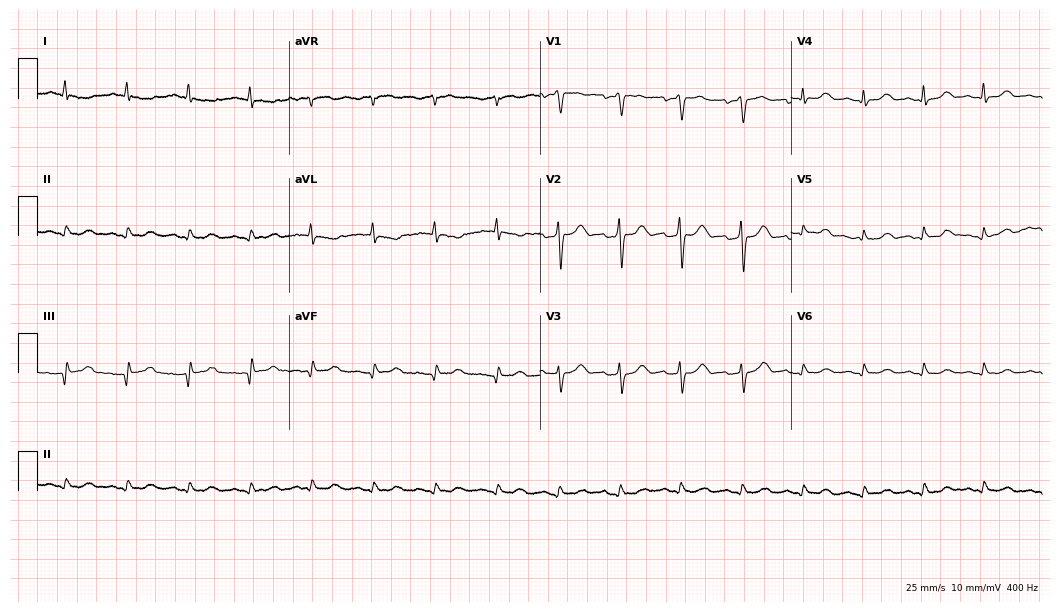
Standard 12-lead ECG recorded from a 64-year-old female (10.2-second recording at 400 Hz). None of these six findings is recorded: first-degree AV block, right bundle branch block, left bundle branch block, sinus bradycardia, atrial fibrillation, sinus tachycardia.